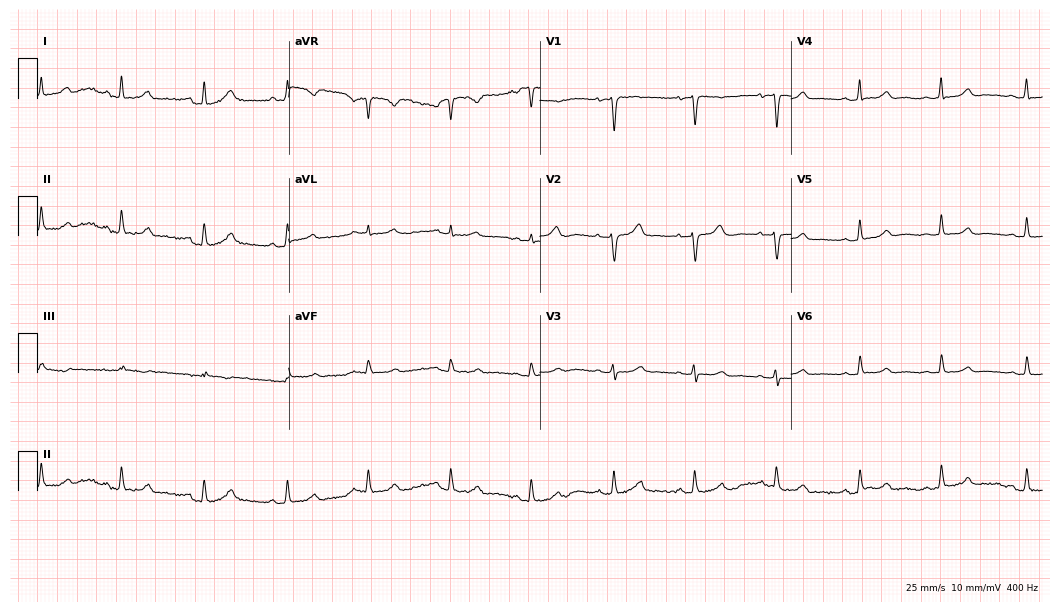
12-lead ECG from a 40-year-old female. Labelled as a normal ECG.